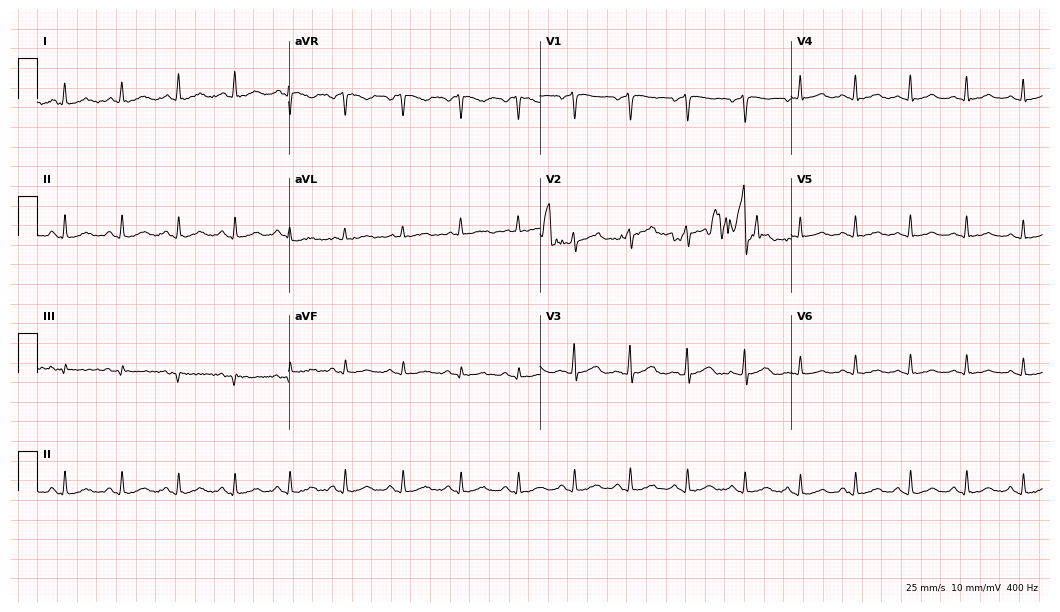
12-lead ECG from a 37-year-old female (10.2-second recording at 400 Hz). Shows sinus tachycardia (a sinus rate of 100 beats per minute or more).